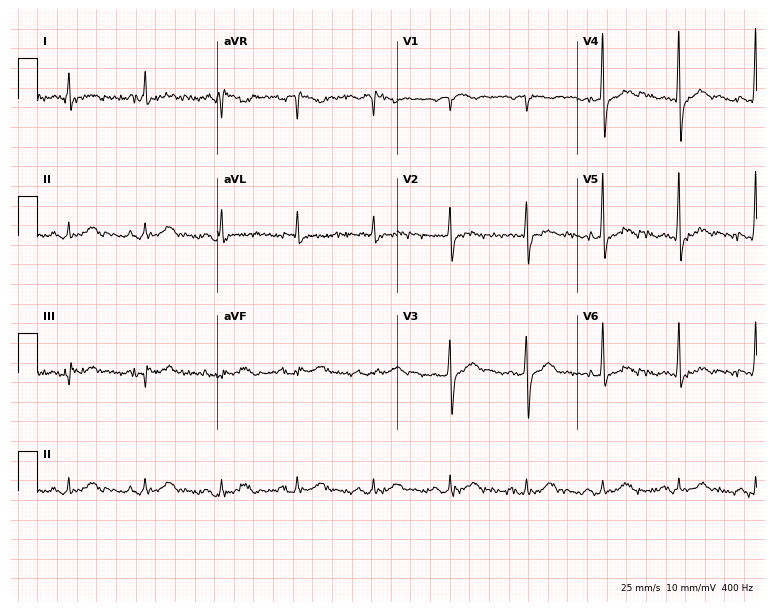
12-lead ECG from a male patient, 76 years old (7.3-second recording at 400 Hz). Recorded interpretation: within normal limits.